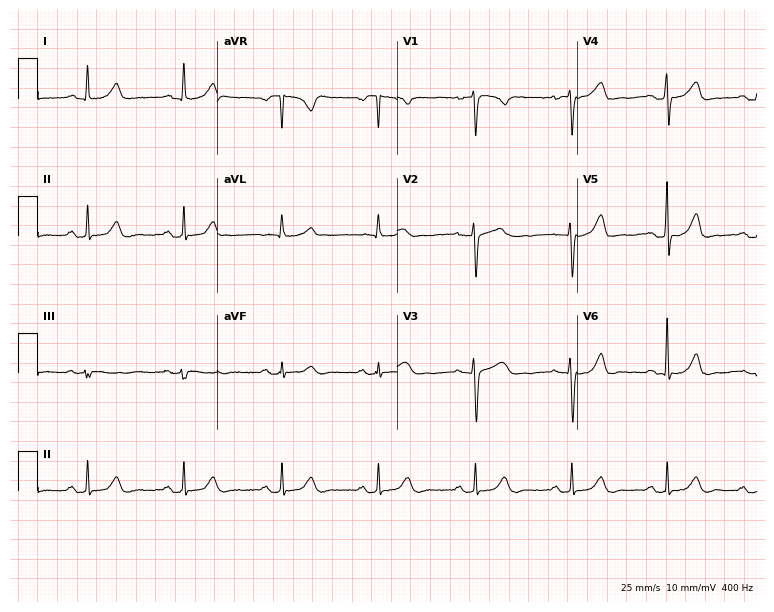
ECG (7.3-second recording at 400 Hz) — a 39-year-old female patient. Labelled as a normal ECG.